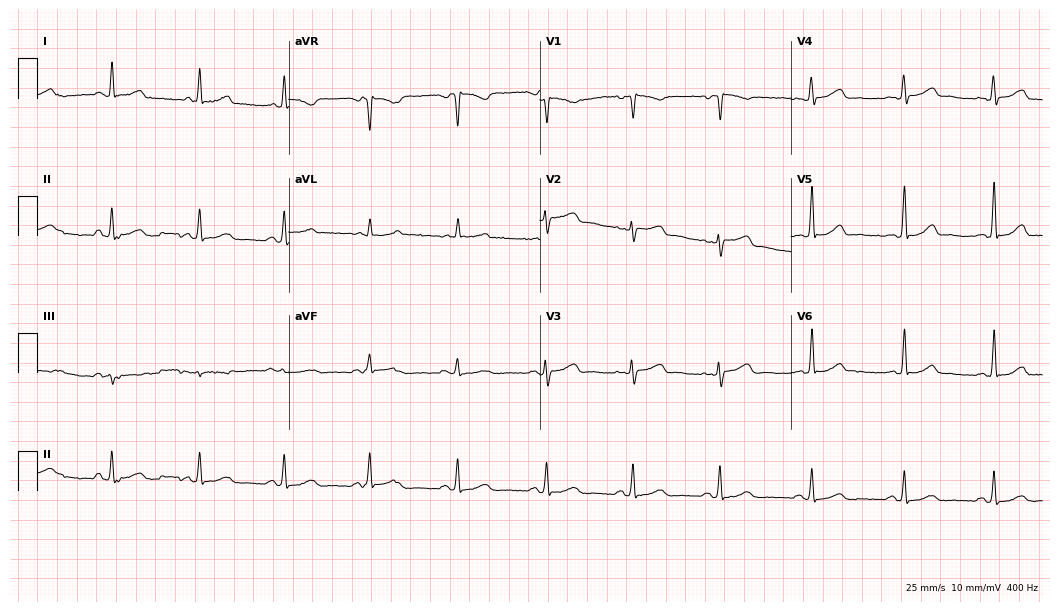
12-lead ECG from a 56-year-old female. No first-degree AV block, right bundle branch block, left bundle branch block, sinus bradycardia, atrial fibrillation or sinus tachycardia recorded for this tracing. Findings outside these six are not listed.